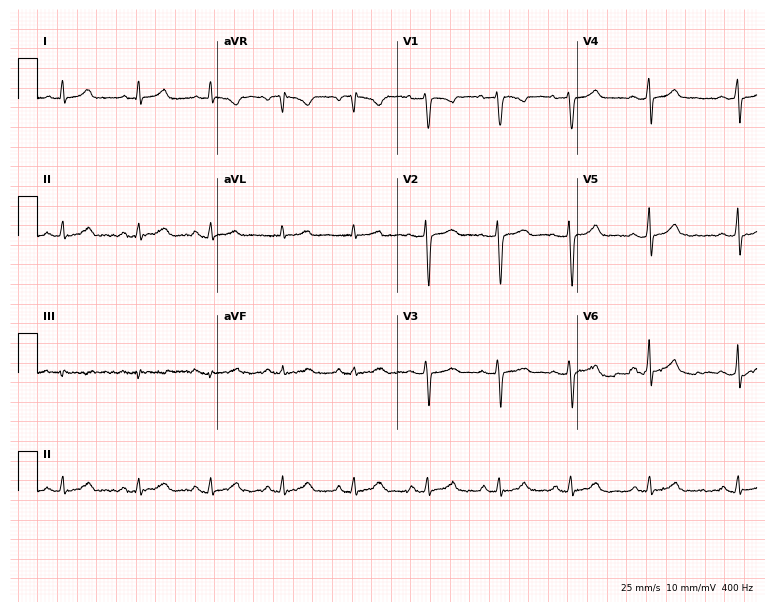
12-lead ECG from a female, 32 years old (7.3-second recording at 400 Hz). Recorded interpretation: within normal limits.